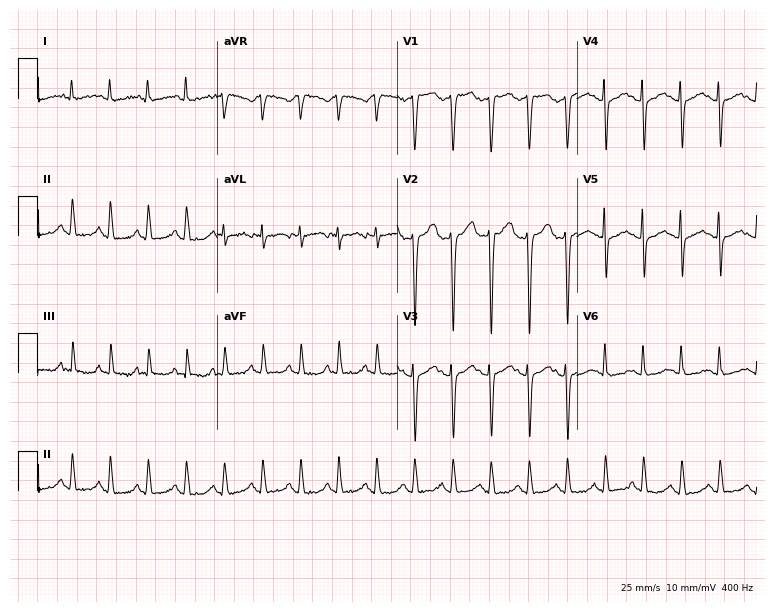
12-lead ECG from a woman, 32 years old (7.3-second recording at 400 Hz). Shows atrial fibrillation (AF).